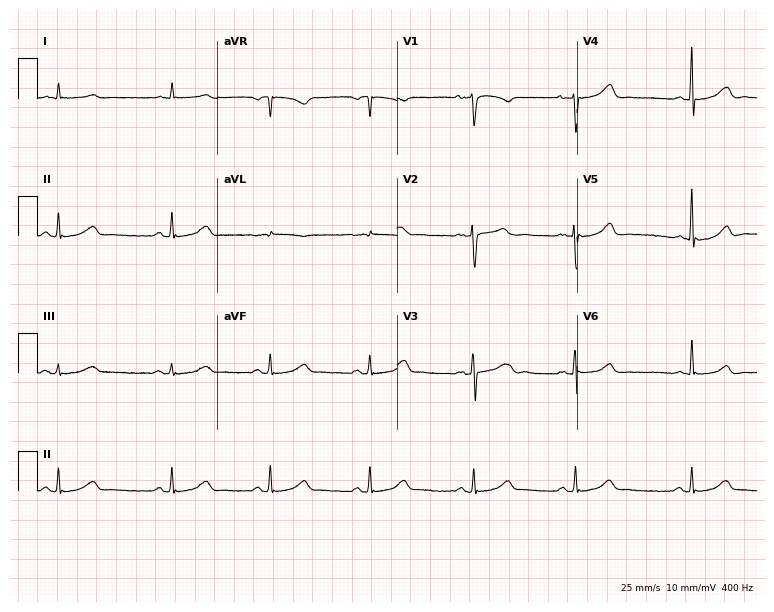
ECG — a female patient, 55 years old. Labelled as a normal ECG.